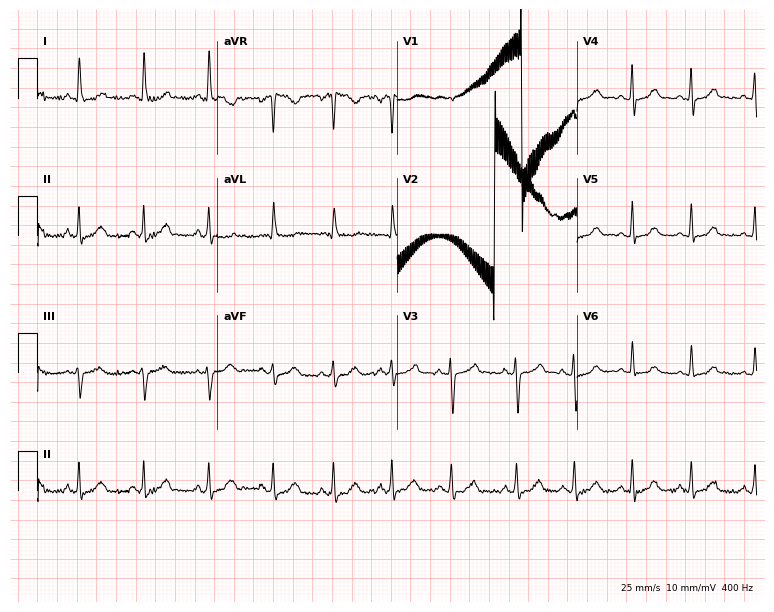
Electrocardiogram, a woman, 22 years old. Interpretation includes sinus tachycardia (a sinus rate of 100 beats per minute or more).